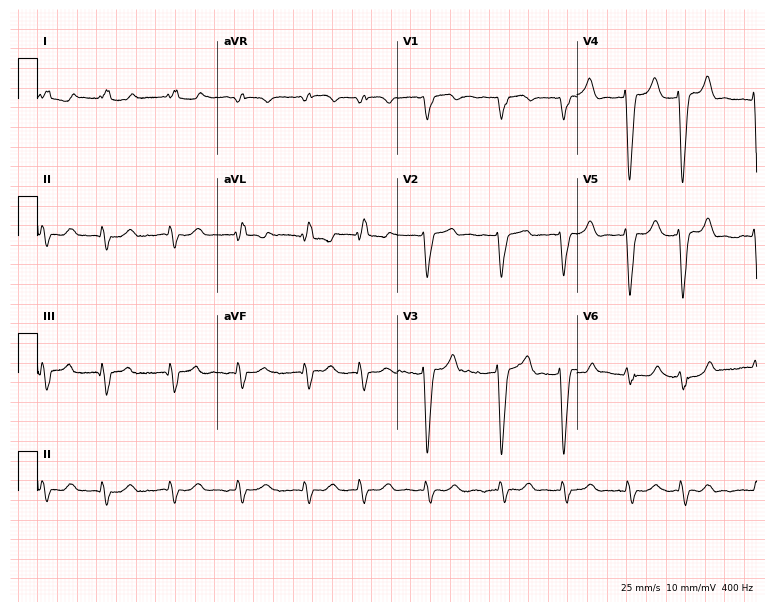
12-lead ECG from a 77-year-old man. Screened for six findings — first-degree AV block, right bundle branch block, left bundle branch block, sinus bradycardia, atrial fibrillation, sinus tachycardia — none is recorded.